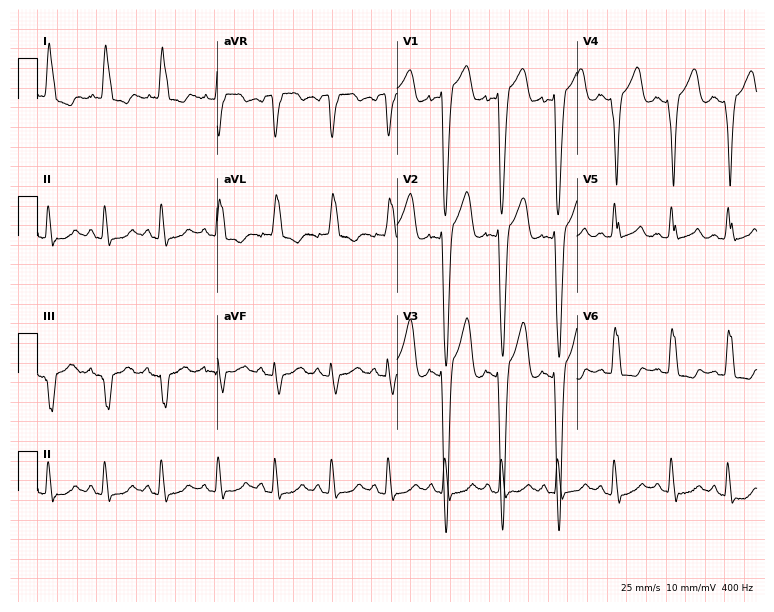
Standard 12-lead ECG recorded from a female, 79 years old (7.3-second recording at 400 Hz). None of these six findings is recorded: first-degree AV block, right bundle branch block, left bundle branch block, sinus bradycardia, atrial fibrillation, sinus tachycardia.